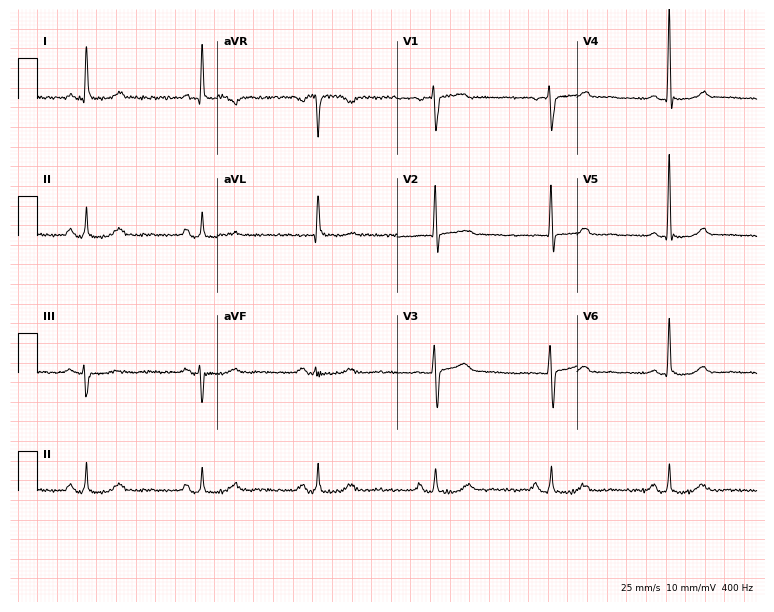
Standard 12-lead ECG recorded from a 75-year-old female patient. Read as a normal ECG.